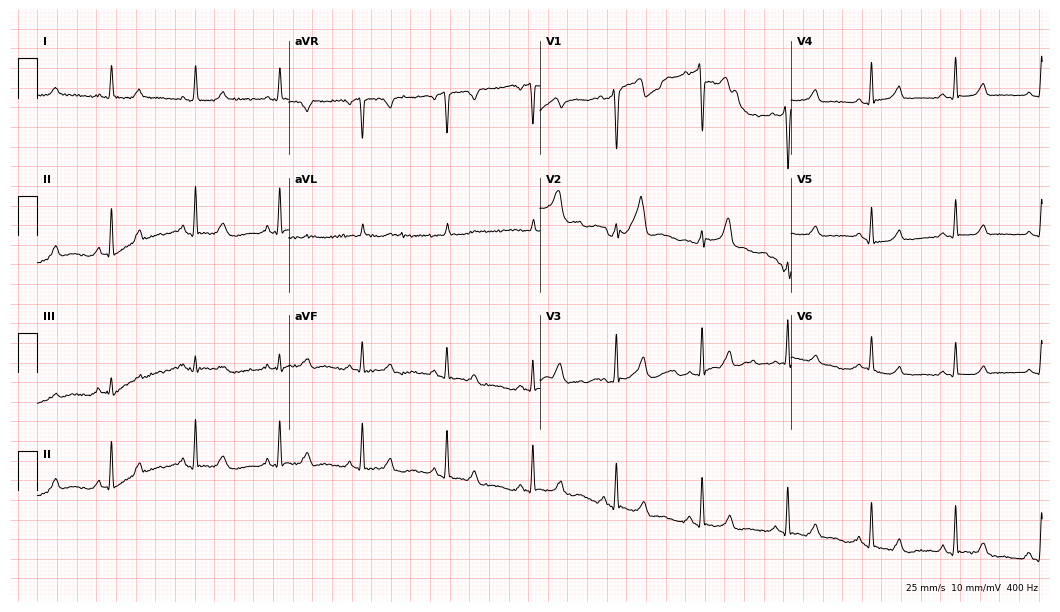
Resting 12-lead electrocardiogram. Patient: a 30-year-old female. Read as a normal ECG.